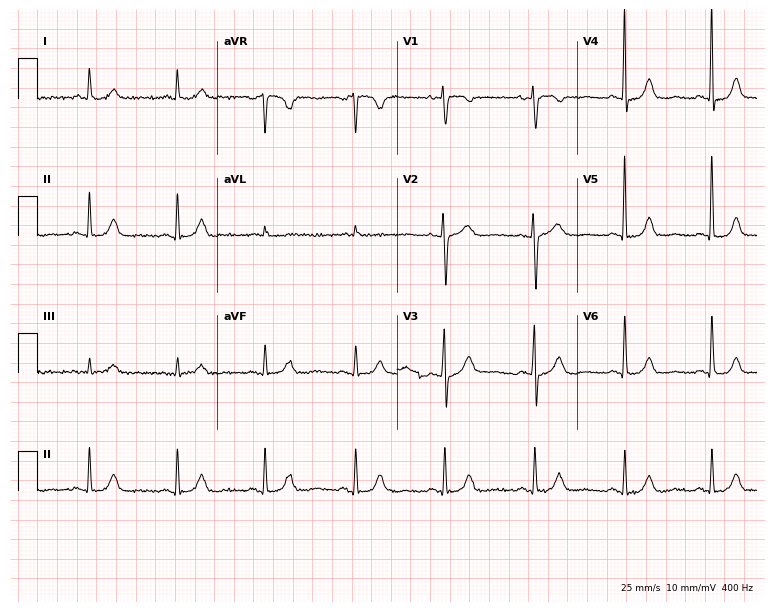
12-lead ECG from a 72-year-old female patient. No first-degree AV block, right bundle branch block (RBBB), left bundle branch block (LBBB), sinus bradycardia, atrial fibrillation (AF) or sinus tachycardia recorded for this tracing. Other findings, if any, are not listed.